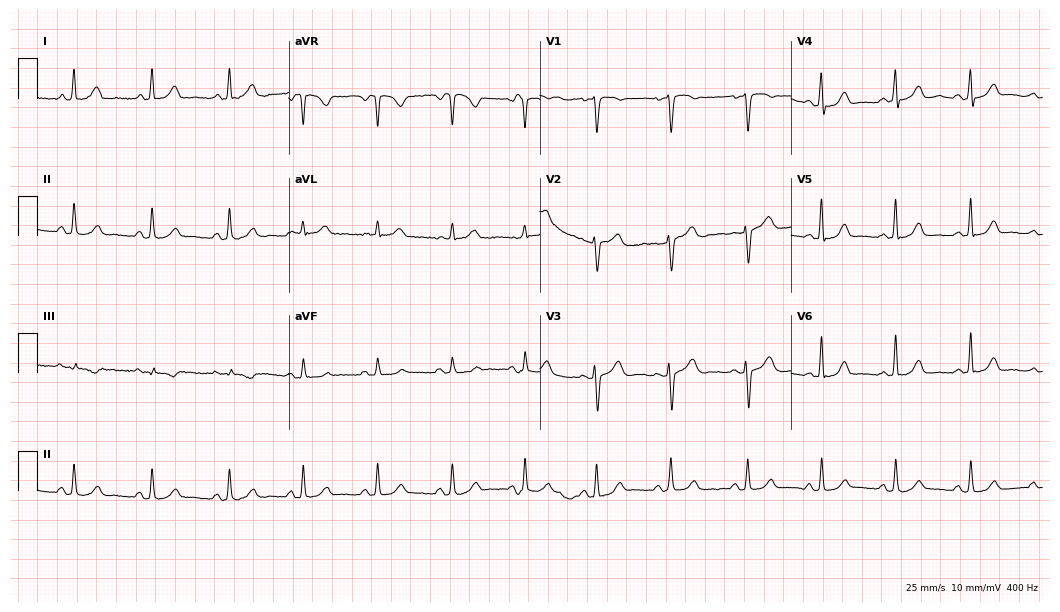
Standard 12-lead ECG recorded from a female patient, 41 years old (10.2-second recording at 400 Hz). Read as a normal ECG.